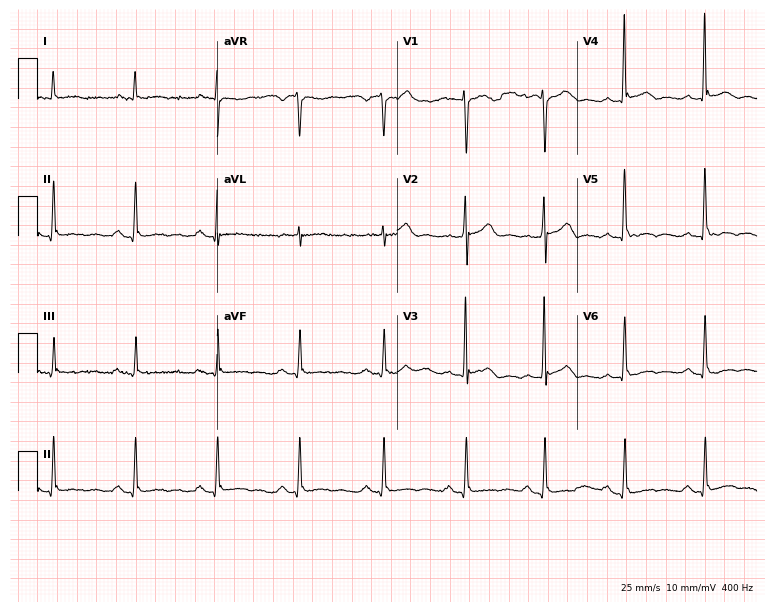
Resting 12-lead electrocardiogram (7.3-second recording at 400 Hz). Patient: a 55-year-old man. None of these six findings is recorded: first-degree AV block, right bundle branch block, left bundle branch block, sinus bradycardia, atrial fibrillation, sinus tachycardia. Only these six findings were labelled.